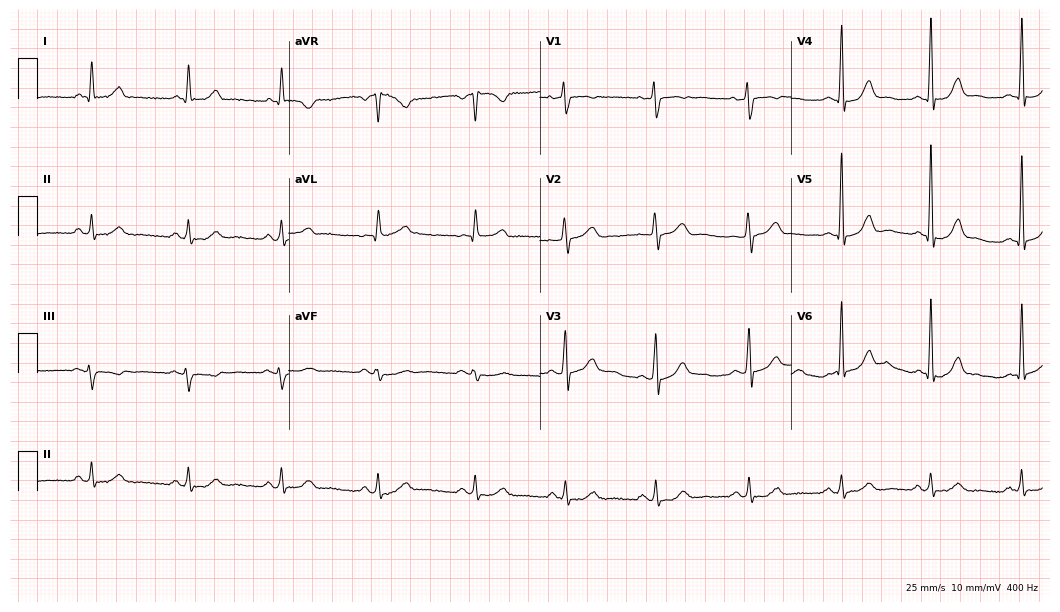
Electrocardiogram, a woman, 59 years old. Overall reading on record: normal ECG.